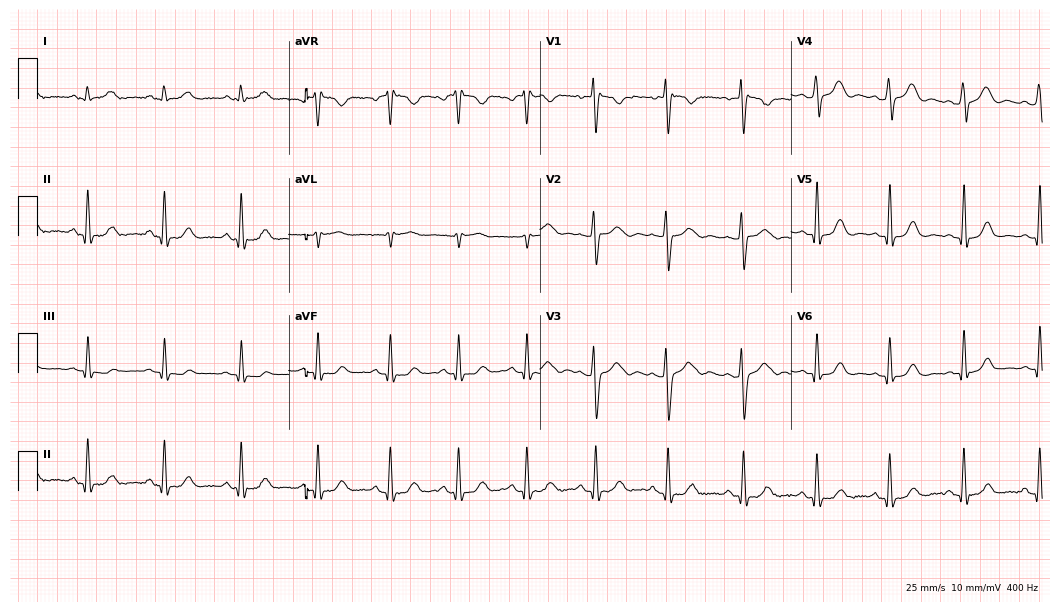
Standard 12-lead ECG recorded from a 28-year-old female patient. None of these six findings is recorded: first-degree AV block, right bundle branch block, left bundle branch block, sinus bradycardia, atrial fibrillation, sinus tachycardia. Other findings, if any, are not listed.